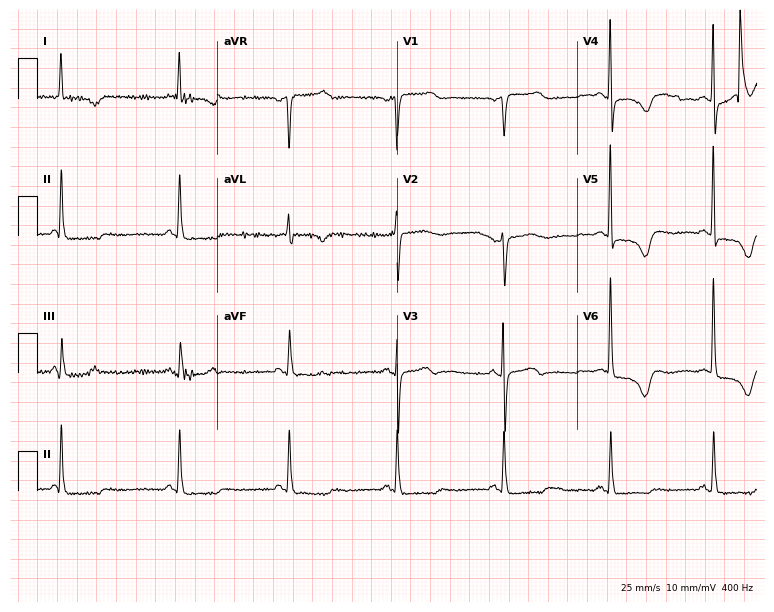
ECG — a female, 70 years old. Screened for six findings — first-degree AV block, right bundle branch block, left bundle branch block, sinus bradycardia, atrial fibrillation, sinus tachycardia — none is recorded. Findings outside these six are not listed.